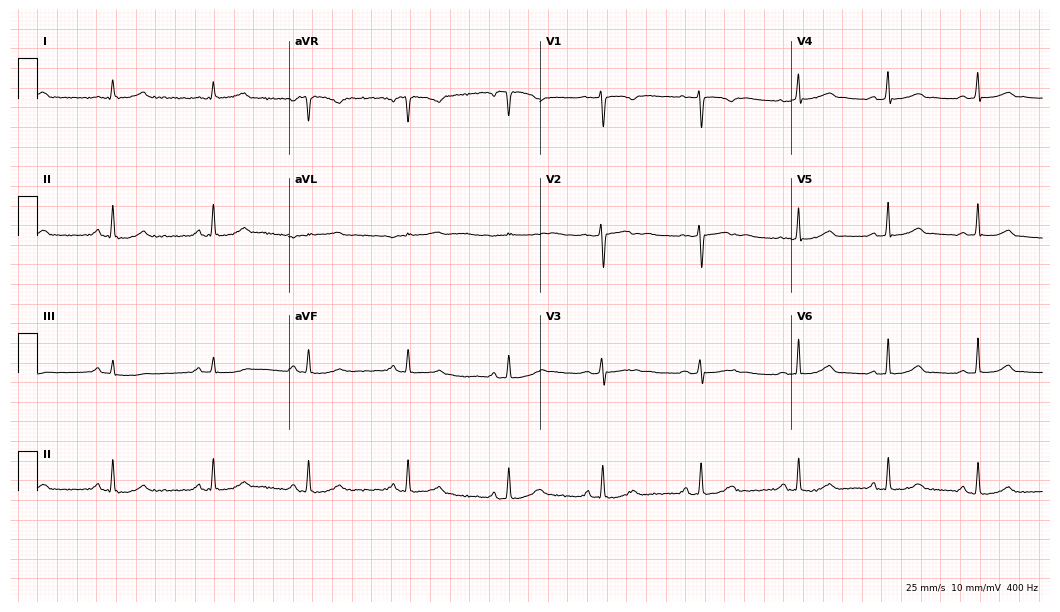
12-lead ECG from a 33-year-old woman. Recorded interpretation: within normal limits.